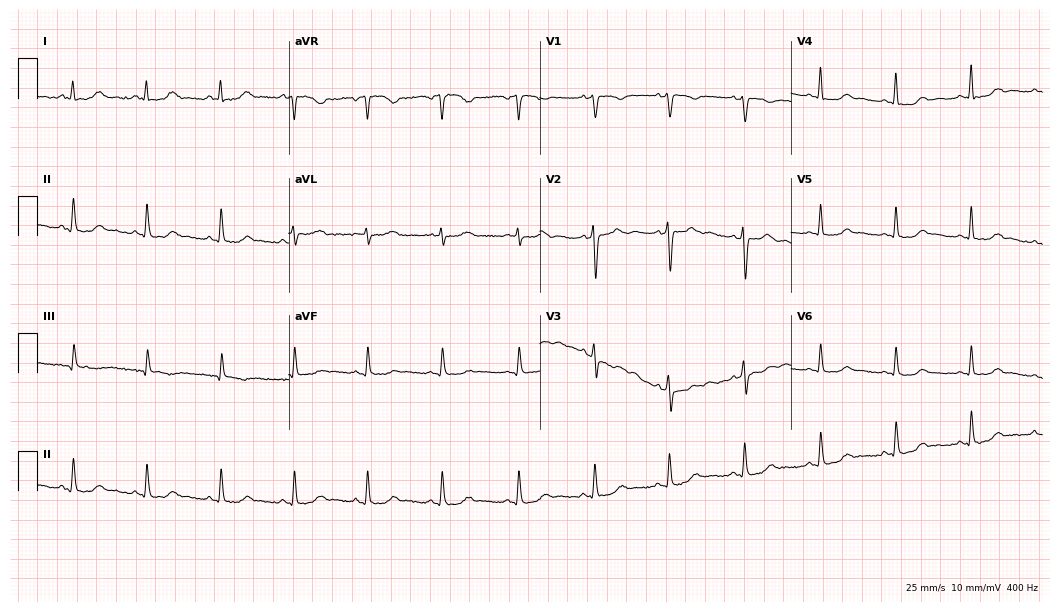
Resting 12-lead electrocardiogram. Patient: a 63-year-old female. None of these six findings is recorded: first-degree AV block, right bundle branch block (RBBB), left bundle branch block (LBBB), sinus bradycardia, atrial fibrillation (AF), sinus tachycardia. Other findings, if any, are not listed.